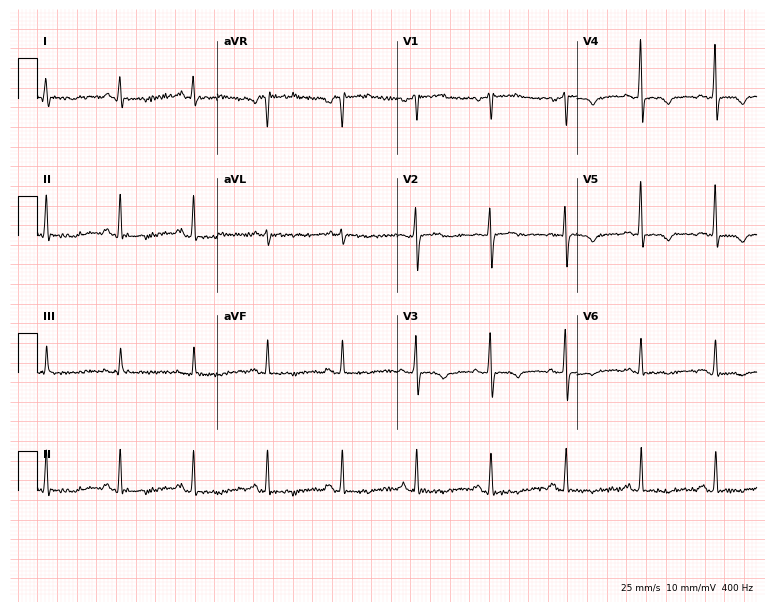
12-lead ECG (7.3-second recording at 400 Hz) from a woman, 60 years old. Screened for six findings — first-degree AV block, right bundle branch block, left bundle branch block, sinus bradycardia, atrial fibrillation, sinus tachycardia — none is recorded. Findings outside these six are not listed.